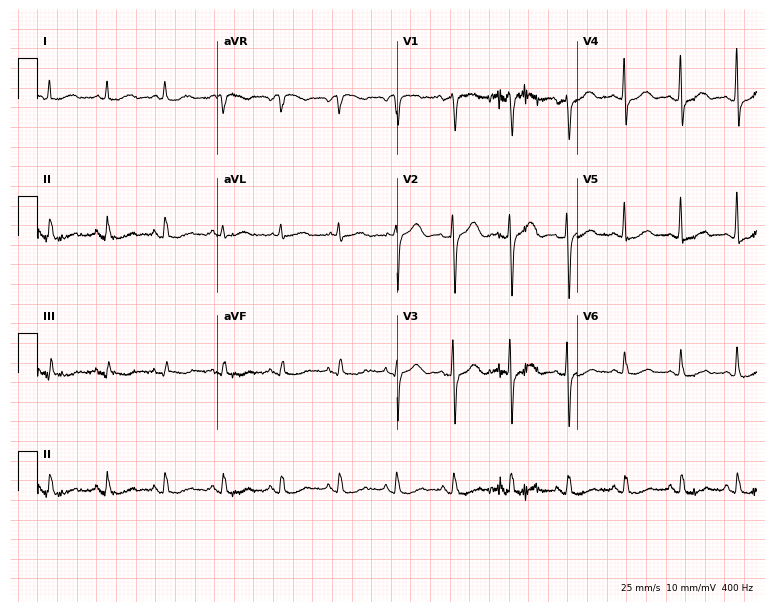
ECG — a 77-year-old female. Screened for six findings — first-degree AV block, right bundle branch block (RBBB), left bundle branch block (LBBB), sinus bradycardia, atrial fibrillation (AF), sinus tachycardia — none is recorded.